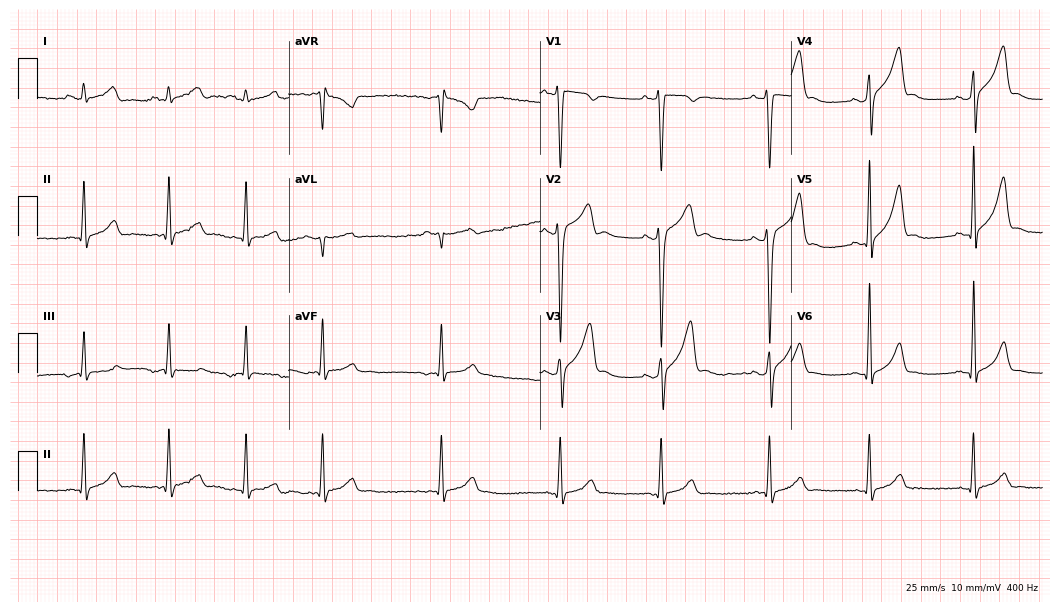
Resting 12-lead electrocardiogram (10.2-second recording at 400 Hz). Patient: a 22-year-old man. None of these six findings is recorded: first-degree AV block, right bundle branch block, left bundle branch block, sinus bradycardia, atrial fibrillation, sinus tachycardia.